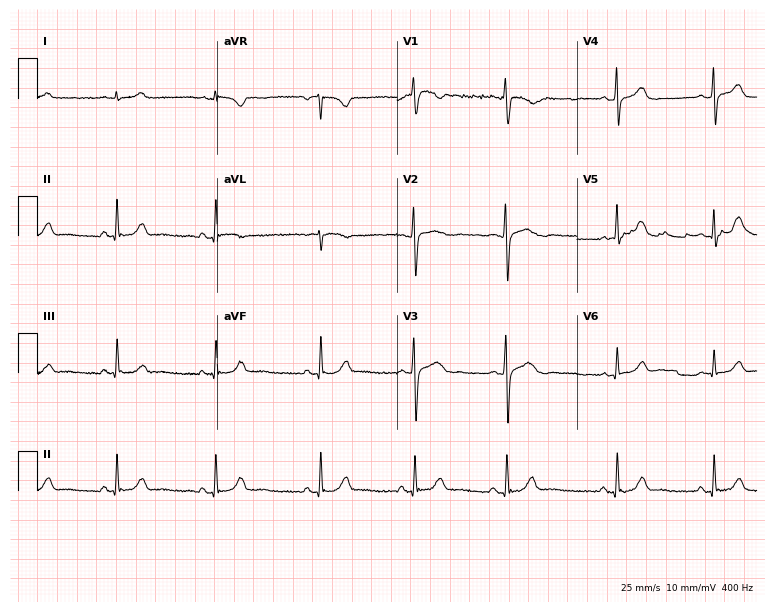
ECG — a woman, 27 years old. Screened for six findings — first-degree AV block, right bundle branch block, left bundle branch block, sinus bradycardia, atrial fibrillation, sinus tachycardia — none is recorded.